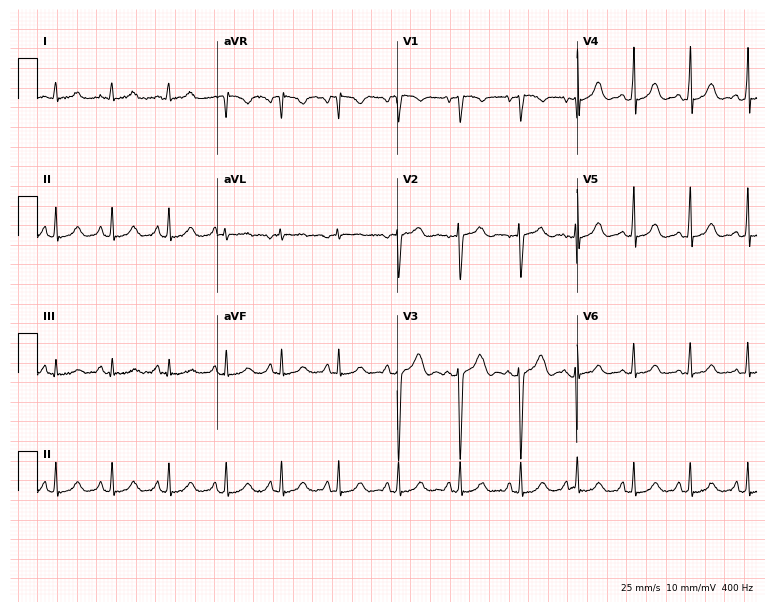
Electrocardiogram, a female patient, 18 years old. Of the six screened findings (first-degree AV block, right bundle branch block, left bundle branch block, sinus bradycardia, atrial fibrillation, sinus tachycardia), none is recorded. Other findings, if any, are not listed.